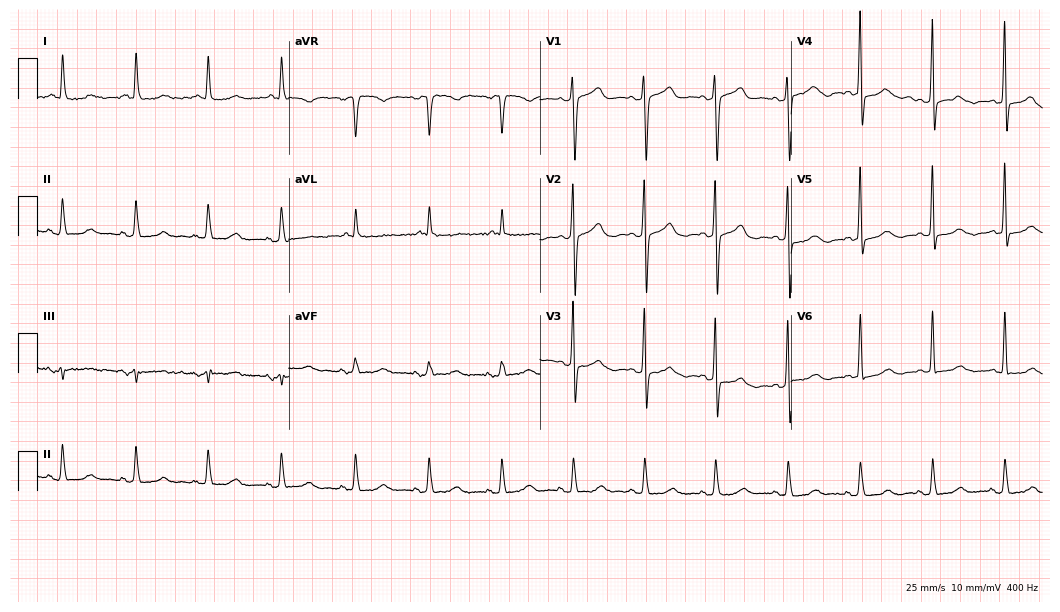
12-lead ECG from an 81-year-old female patient (10.2-second recording at 400 Hz). Recorded interpretation: within normal limits.